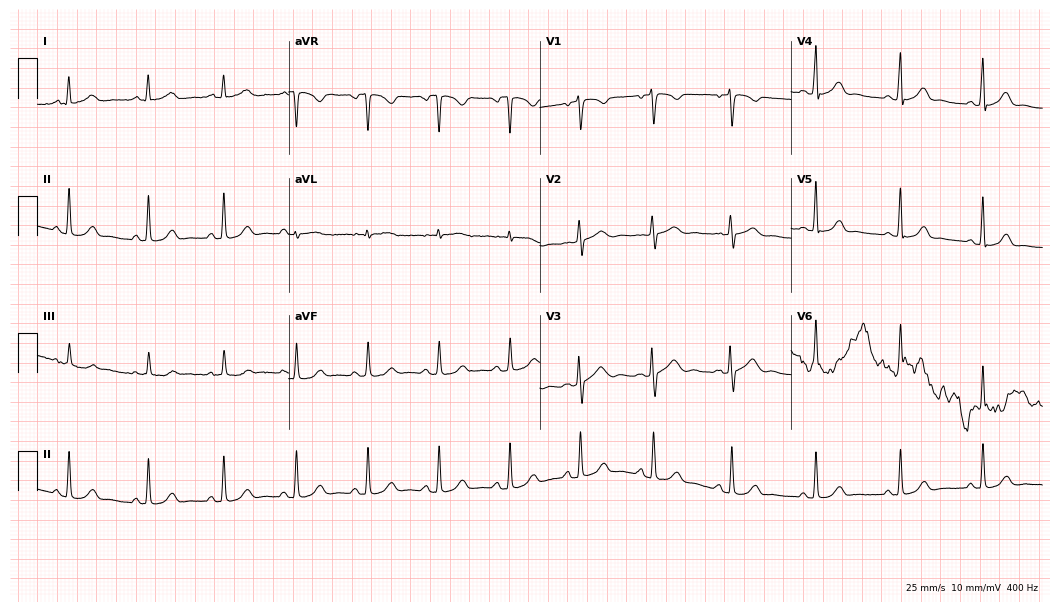
12-lead ECG from a female patient, 20 years old (10.2-second recording at 400 Hz). No first-degree AV block, right bundle branch block, left bundle branch block, sinus bradycardia, atrial fibrillation or sinus tachycardia recorded for this tracing. Other findings, if any, are not listed.